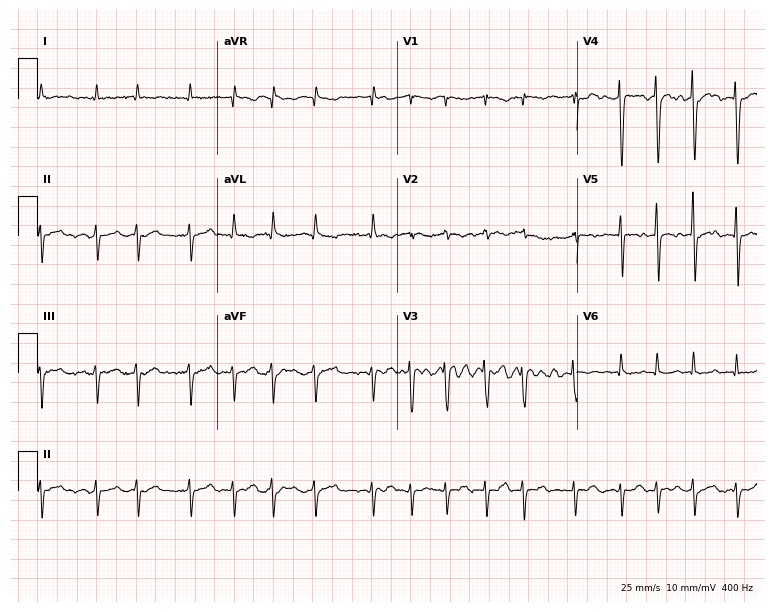
ECG — a 69-year-old female. Findings include atrial fibrillation.